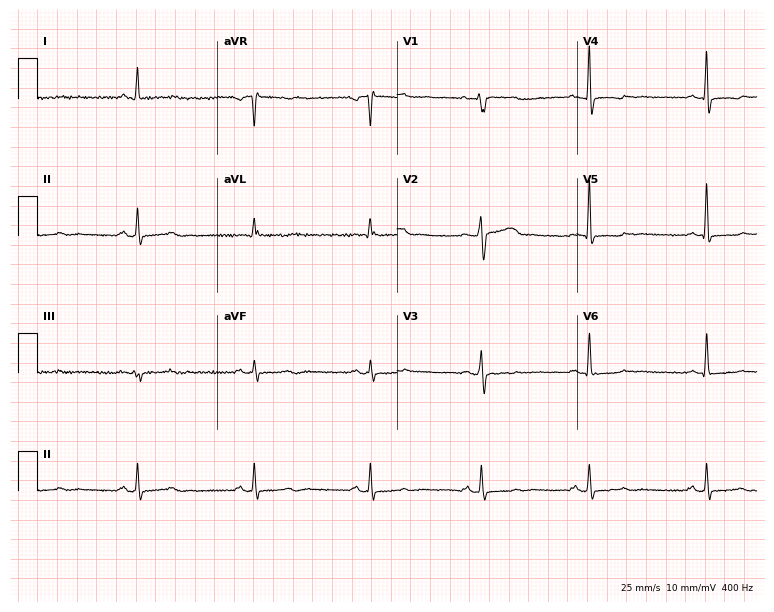
12-lead ECG from a 55-year-old woman (7.3-second recording at 400 Hz). No first-degree AV block, right bundle branch block, left bundle branch block, sinus bradycardia, atrial fibrillation or sinus tachycardia recorded for this tracing. Only these six findings were labelled.